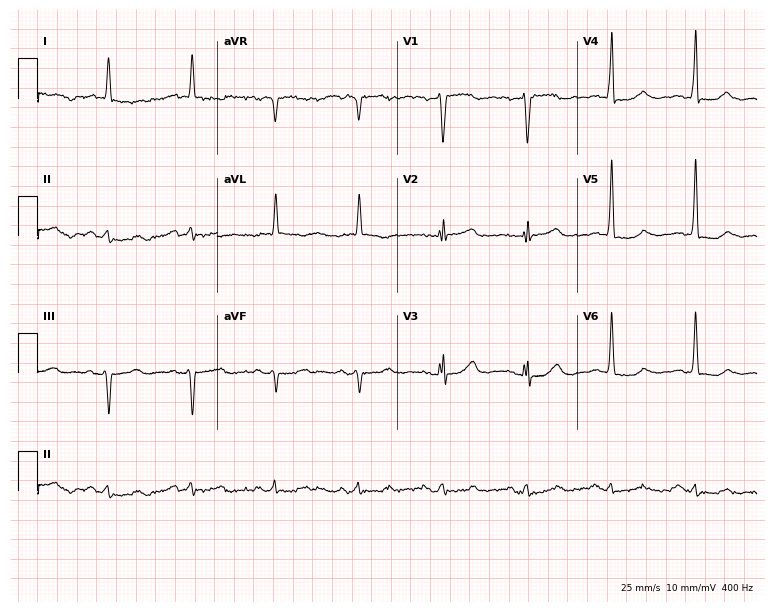
Electrocardiogram, a man, 76 years old. Of the six screened findings (first-degree AV block, right bundle branch block (RBBB), left bundle branch block (LBBB), sinus bradycardia, atrial fibrillation (AF), sinus tachycardia), none is recorded. Findings outside these six are not listed.